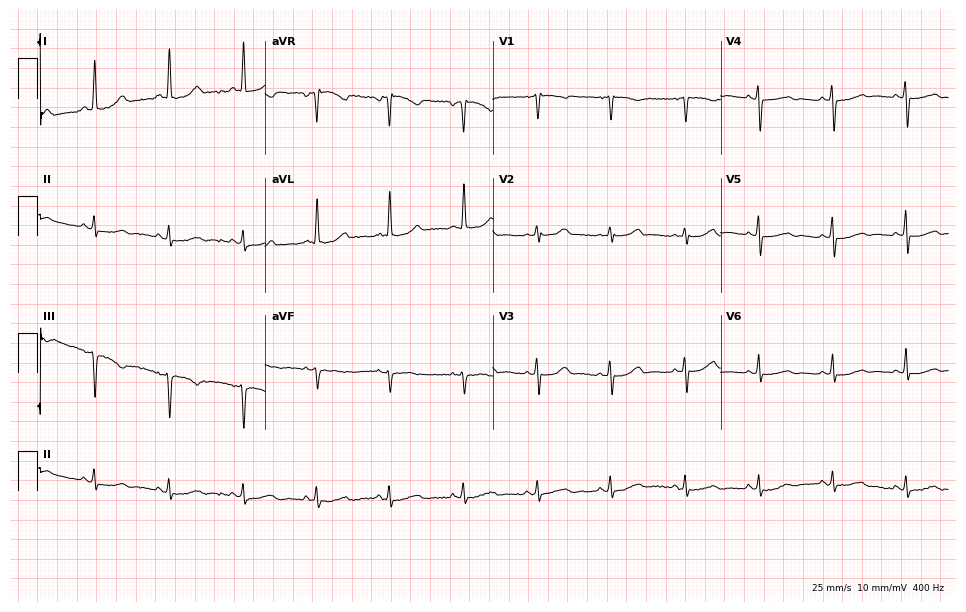
Electrocardiogram, a 60-year-old female. Overall reading on record: normal ECG.